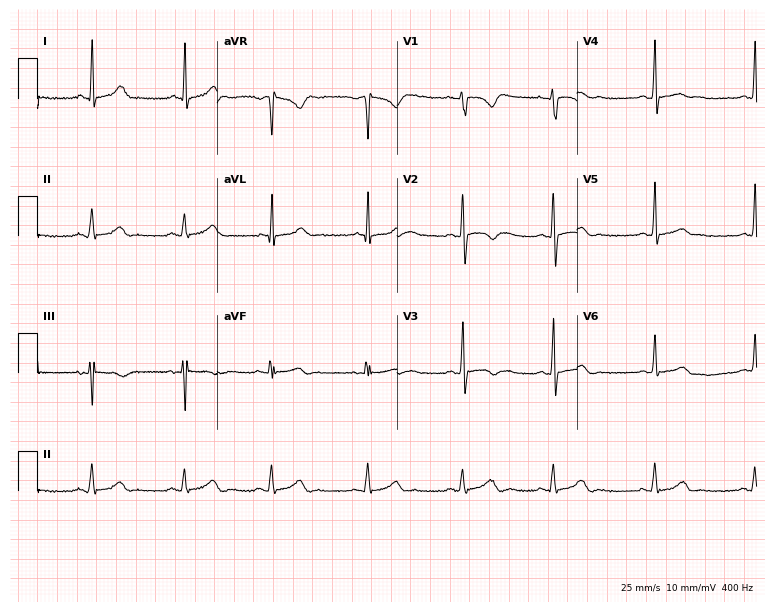
ECG — a female patient, 27 years old. Screened for six findings — first-degree AV block, right bundle branch block (RBBB), left bundle branch block (LBBB), sinus bradycardia, atrial fibrillation (AF), sinus tachycardia — none is recorded. Other findings, if any, are not listed.